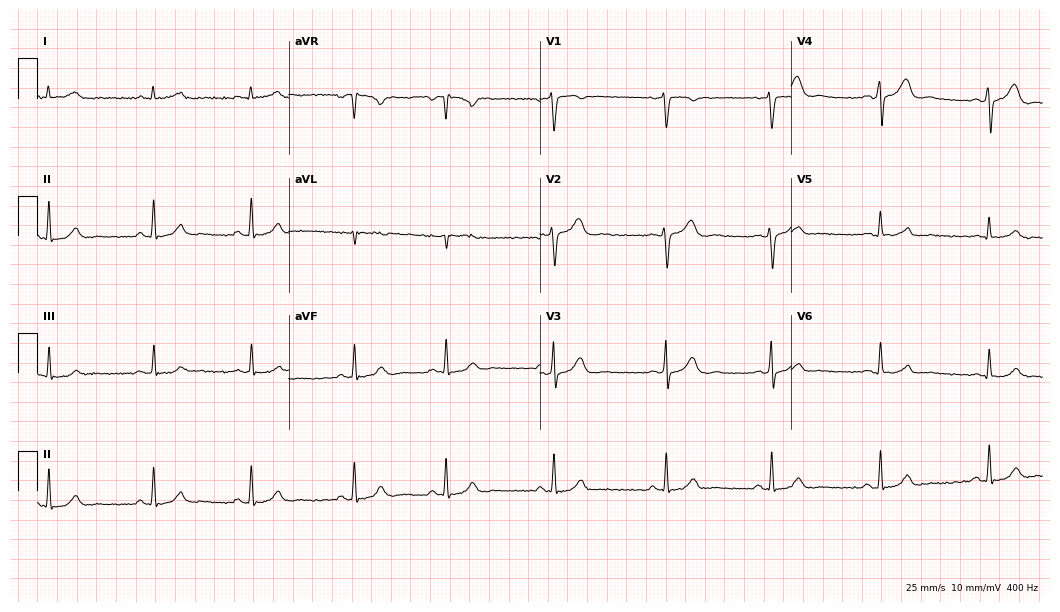
Electrocardiogram (10.2-second recording at 400 Hz), a 28-year-old woman. Overall reading on record: normal ECG.